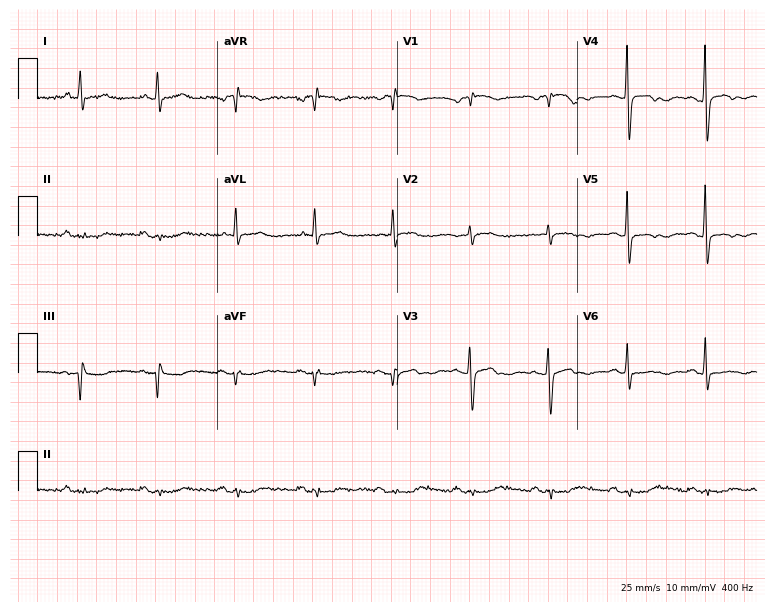
12-lead ECG from a woman, 75 years old. Screened for six findings — first-degree AV block, right bundle branch block, left bundle branch block, sinus bradycardia, atrial fibrillation, sinus tachycardia — none is recorded.